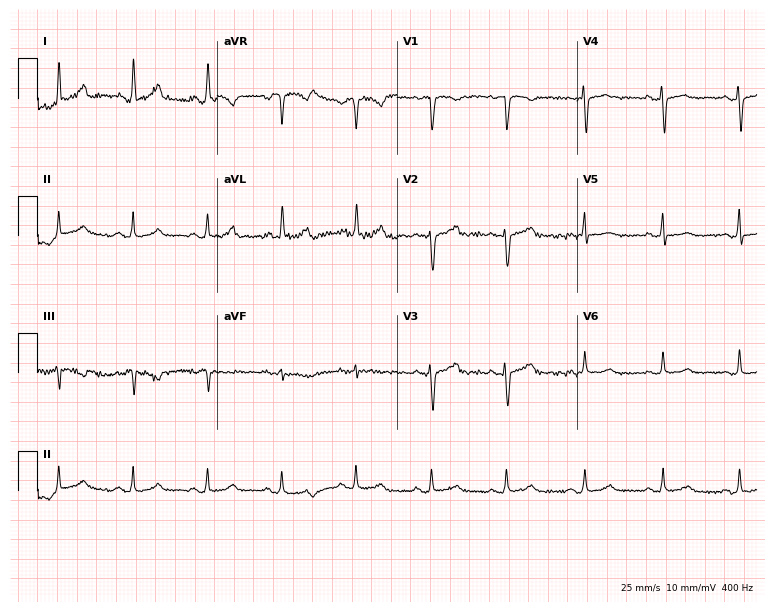
Resting 12-lead electrocardiogram (7.3-second recording at 400 Hz). Patient: a 38-year-old female. None of these six findings is recorded: first-degree AV block, right bundle branch block, left bundle branch block, sinus bradycardia, atrial fibrillation, sinus tachycardia. Findings outside these six are not listed.